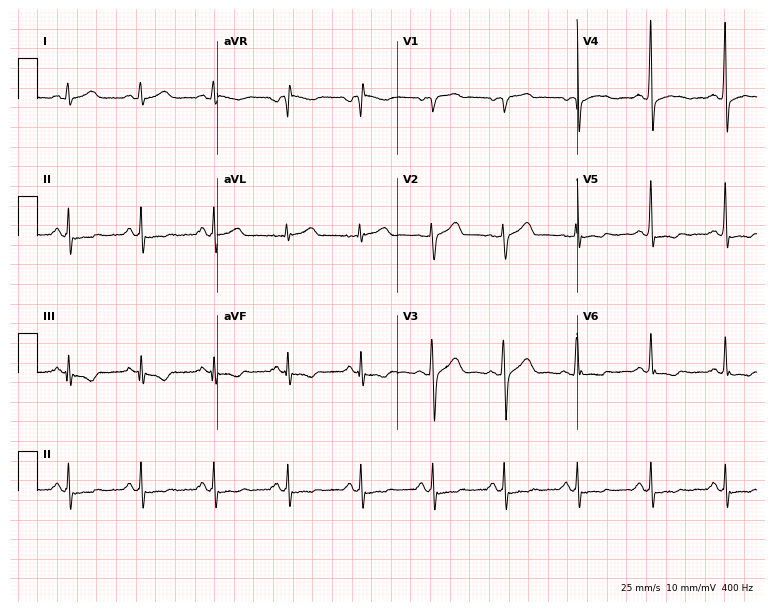
12-lead ECG from a 53-year-old male patient. No first-degree AV block, right bundle branch block (RBBB), left bundle branch block (LBBB), sinus bradycardia, atrial fibrillation (AF) or sinus tachycardia recorded for this tracing.